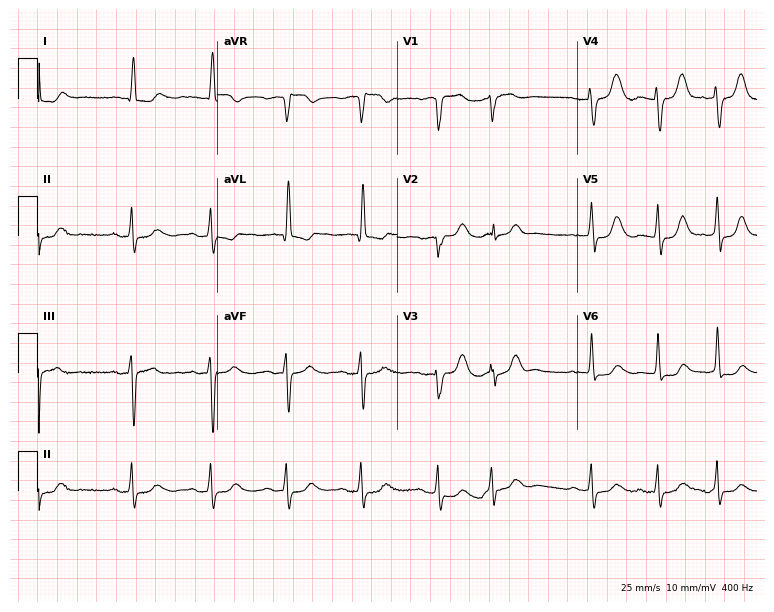
Resting 12-lead electrocardiogram (7.3-second recording at 400 Hz). Patient: a woman, 84 years old. Read as a normal ECG.